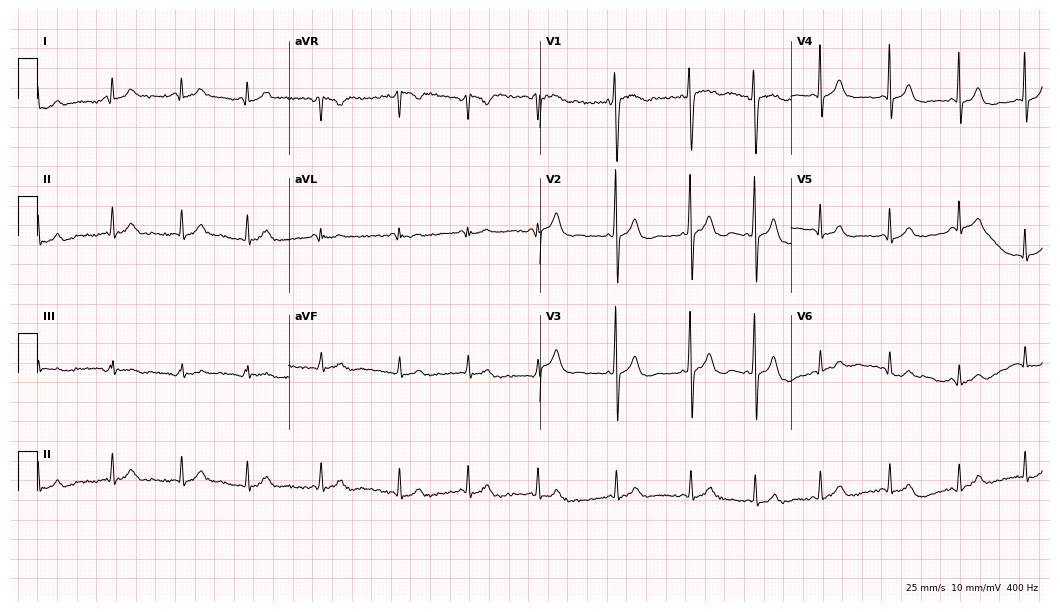
12-lead ECG from a 22-year-old male patient. Recorded interpretation: within normal limits.